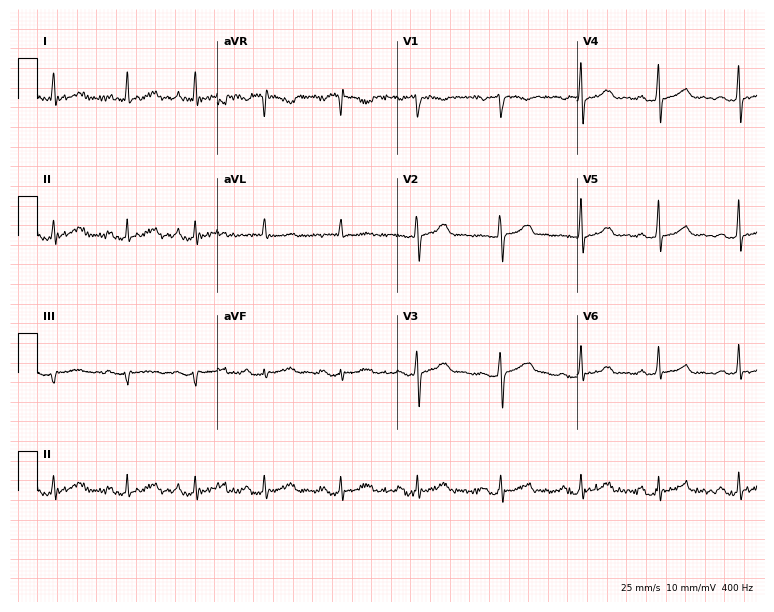
12-lead ECG from a female patient, 45 years old. Screened for six findings — first-degree AV block, right bundle branch block, left bundle branch block, sinus bradycardia, atrial fibrillation, sinus tachycardia — none is recorded. Only these six findings were labelled.